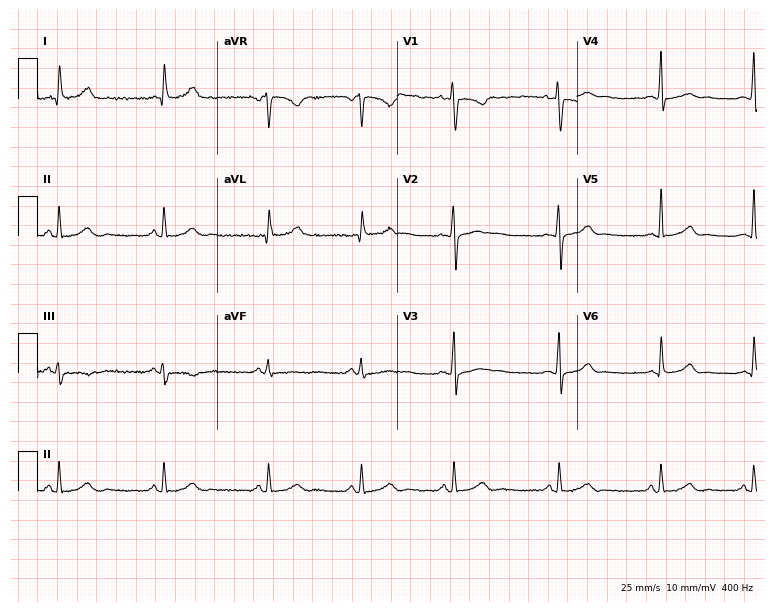
12-lead ECG (7.3-second recording at 400 Hz) from a female patient, 32 years old. Screened for six findings — first-degree AV block, right bundle branch block, left bundle branch block, sinus bradycardia, atrial fibrillation, sinus tachycardia — none is recorded.